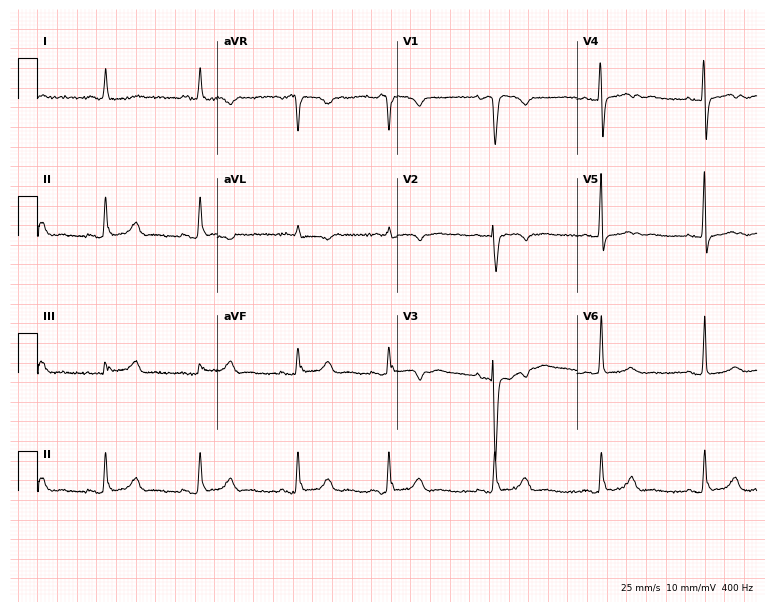
ECG — a female patient, 78 years old. Screened for six findings — first-degree AV block, right bundle branch block, left bundle branch block, sinus bradycardia, atrial fibrillation, sinus tachycardia — none is recorded.